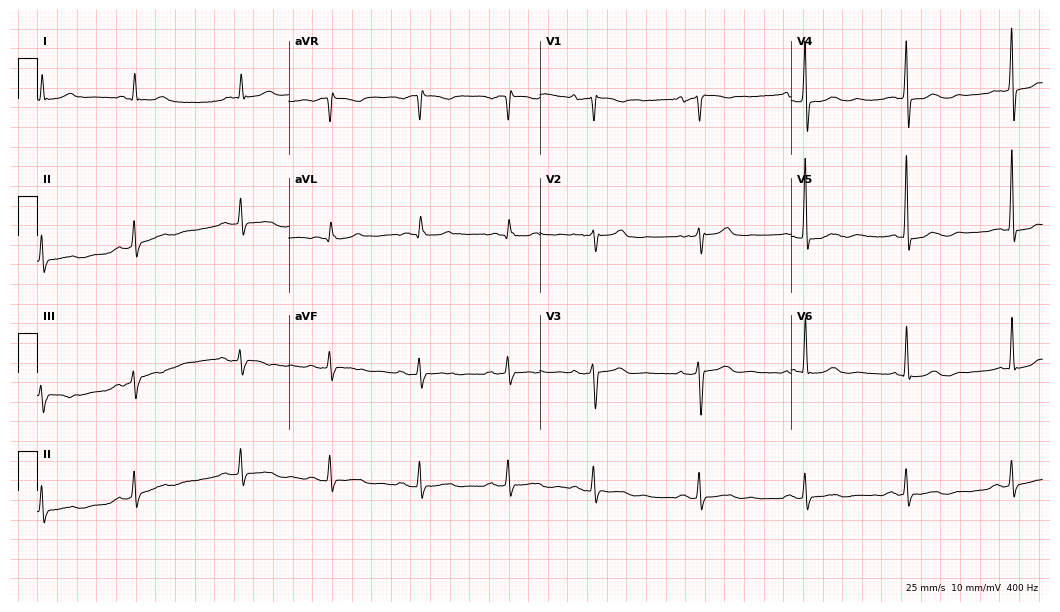
Resting 12-lead electrocardiogram. Patient: an 87-year-old female. None of these six findings is recorded: first-degree AV block, right bundle branch block, left bundle branch block, sinus bradycardia, atrial fibrillation, sinus tachycardia.